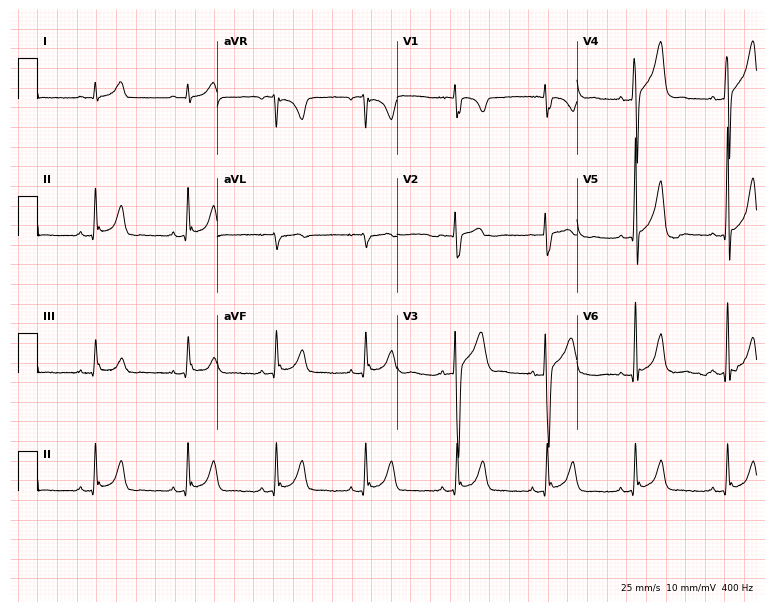
Electrocardiogram (7.3-second recording at 400 Hz), a male, 22 years old. Of the six screened findings (first-degree AV block, right bundle branch block, left bundle branch block, sinus bradycardia, atrial fibrillation, sinus tachycardia), none is recorded.